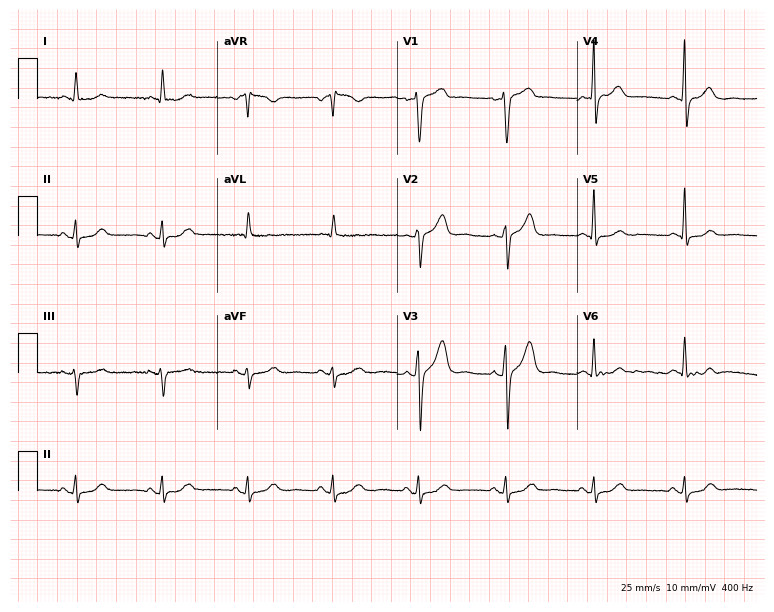
12-lead ECG from a male patient, 52 years old. No first-degree AV block, right bundle branch block, left bundle branch block, sinus bradycardia, atrial fibrillation or sinus tachycardia recorded for this tracing.